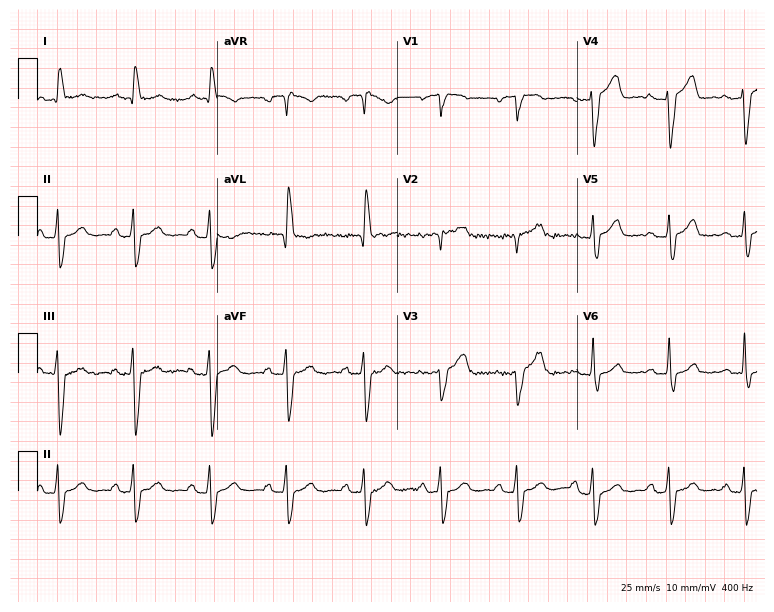
Electrocardiogram, a 72-year-old female patient. Of the six screened findings (first-degree AV block, right bundle branch block (RBBB), left bundle branch block (LBBB), sinus bradycardia, atrial fibrillation (AF), sinus tachycardia), none is recorded.